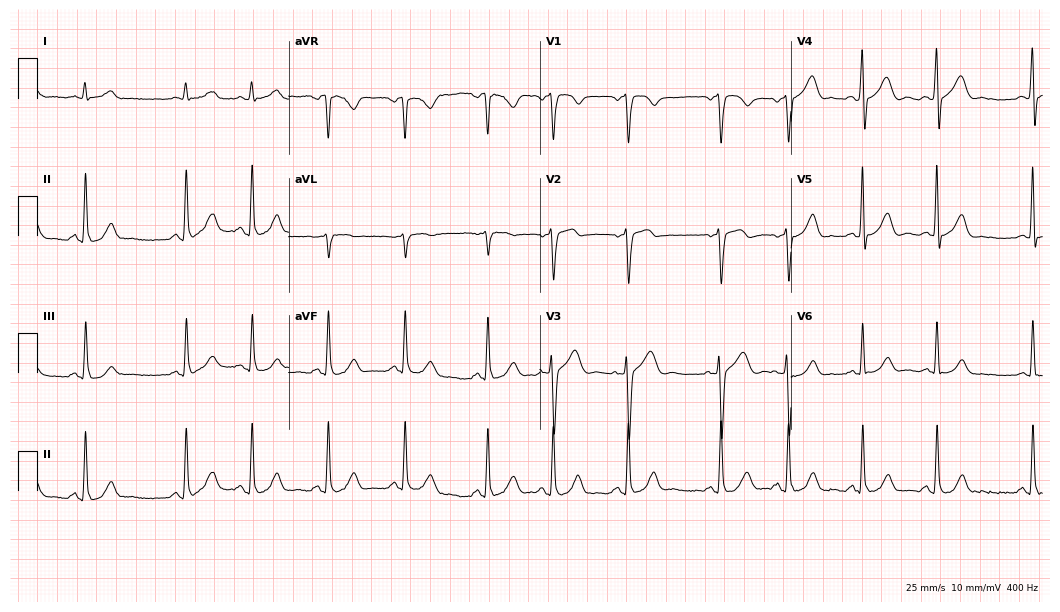
Resting 12-lead electrocardiogram. Patient: a 66-year-old male. Read as a normal ECG.